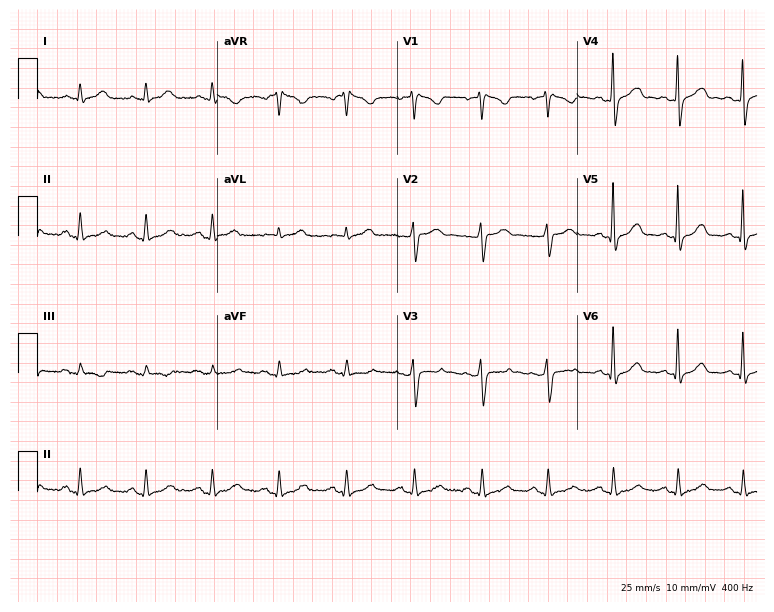
Electrocardiogram (7.3-second recording at 400 Hz), a 51-year-old woman. Of the six screened findings (first-degree AV block, right bundle branch block (RBBB), left bundle branch block (LBBB), sinus bradycardia, atrial fibrillation (AF), sinus tachycardia), none is recorded. Findings outside these six are not listed.